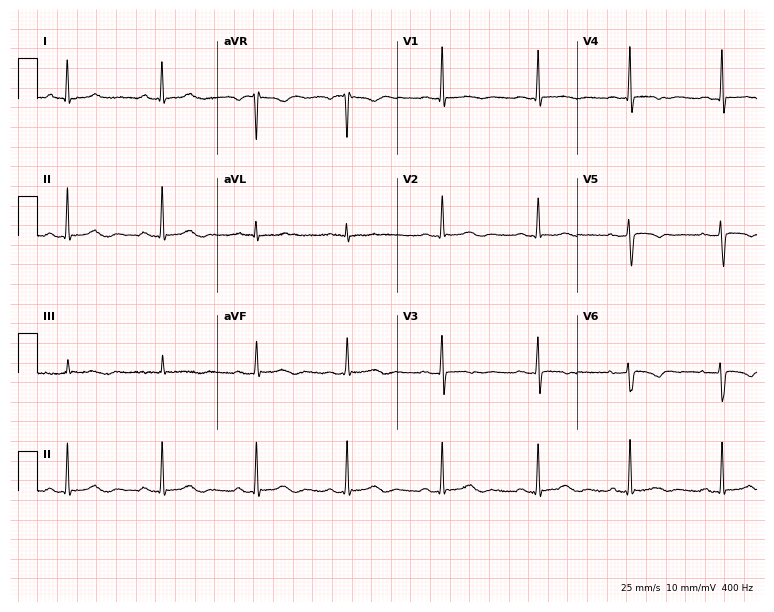
ECG — a 50-year-old woman. Screened for six findings — first-degree AV block, right bundle branch block, left bundle branch block, sinus bradycardia, atrial fibrillation, sinus tachycardia — none is recorded.